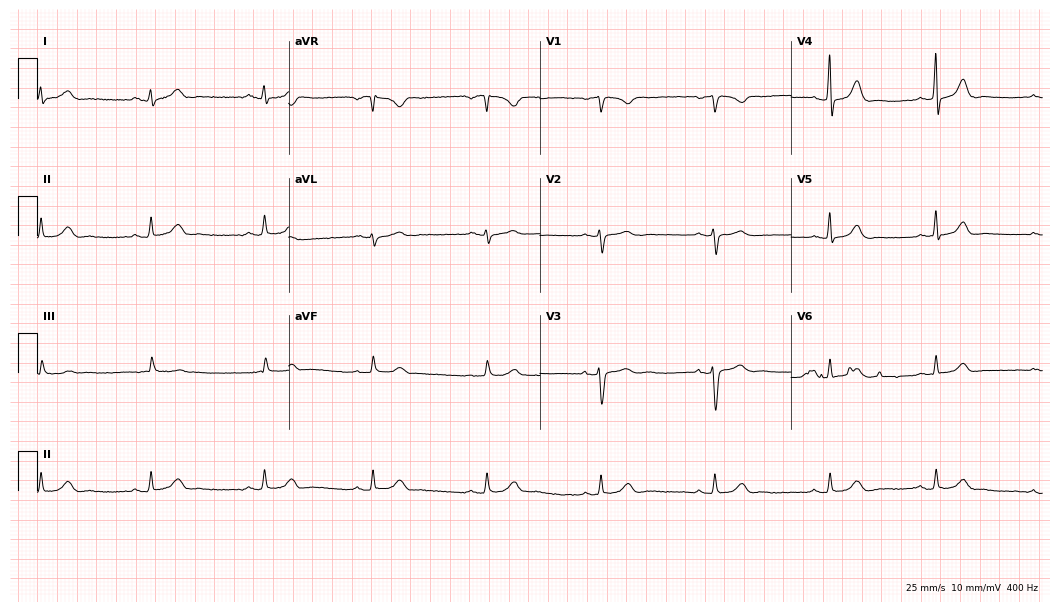
Electrocardiogram (10.2-second recording at 400 Hz), a female, 21 years old. Of the six screened findings (first-degree AV block, right bundle branch block (RBBB), left bundle branch block (LBBB), sinus bradycardia, atrial fibrillation (AF), sinus tachycardia), none is recorded. Only these six findings were labelled.